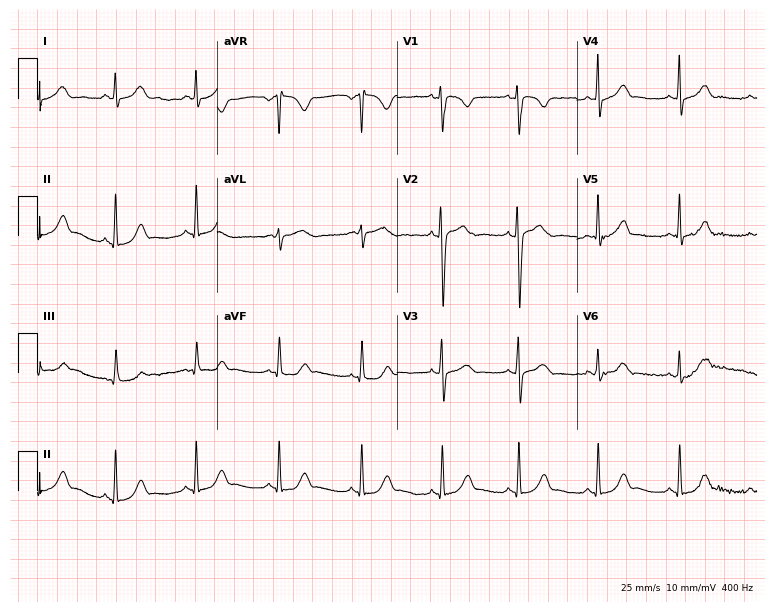
12-lead ECG (7.3-second recording at 400 Hz) from a 17-year-old woman. Screened for six findings — first-degree AV block, right bundle branch block, left bundle branch block, sinus bradycardia, atrial fibrillation, sinus tachycardia — none is recorded. Other findings, if any, are not listed.